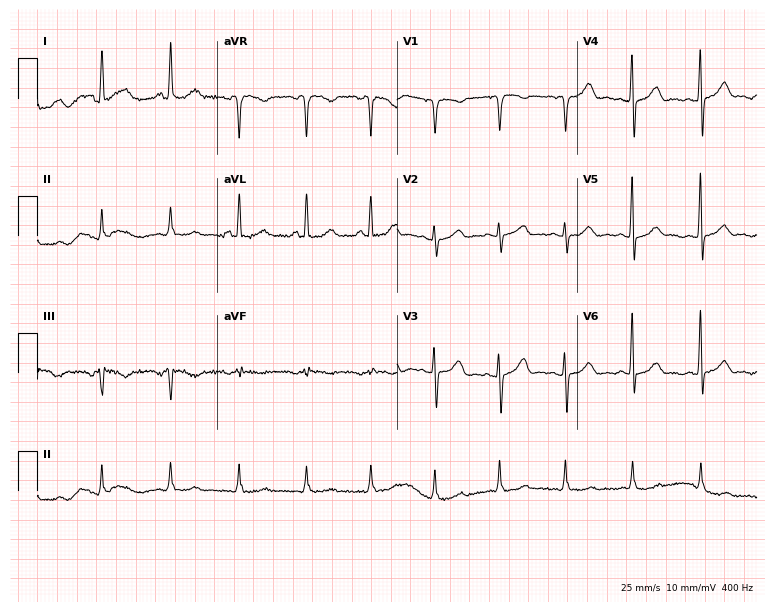
ECG (7.3-second recording at 400 Hz) — a woman, 50 years old. Labelled as a normal ECG.